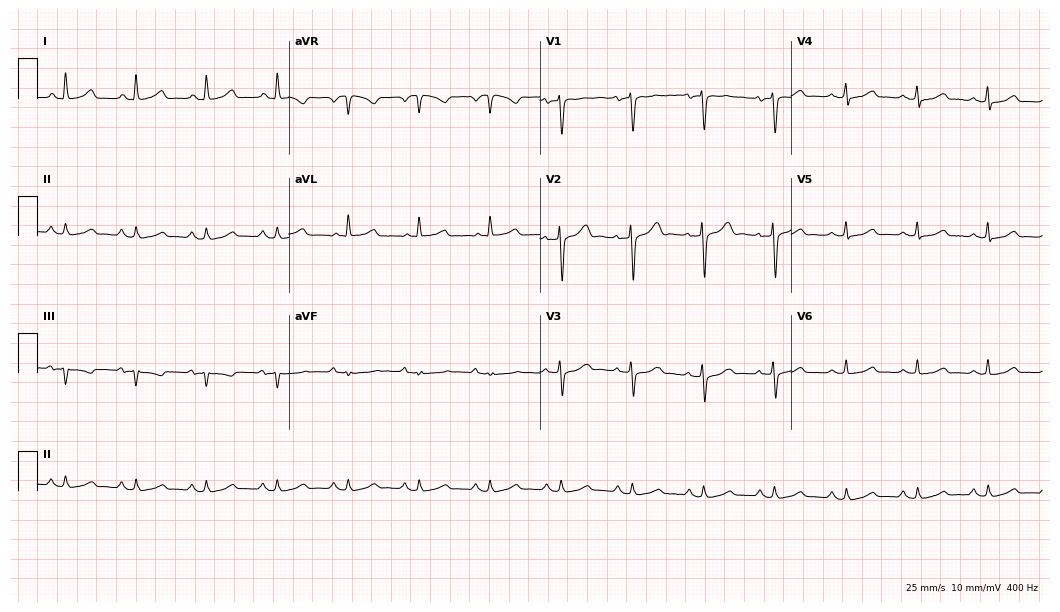
ECG (10.2-second recording at 400 Hz) — a 66-year-old female. Screened for six findings — first-degree AV block, right bundle branch block, left bundle branch block, sinus bradycardia, atrial fibrillation, sinus tachycardia — none is recorded. Findings outside these six are not listed.